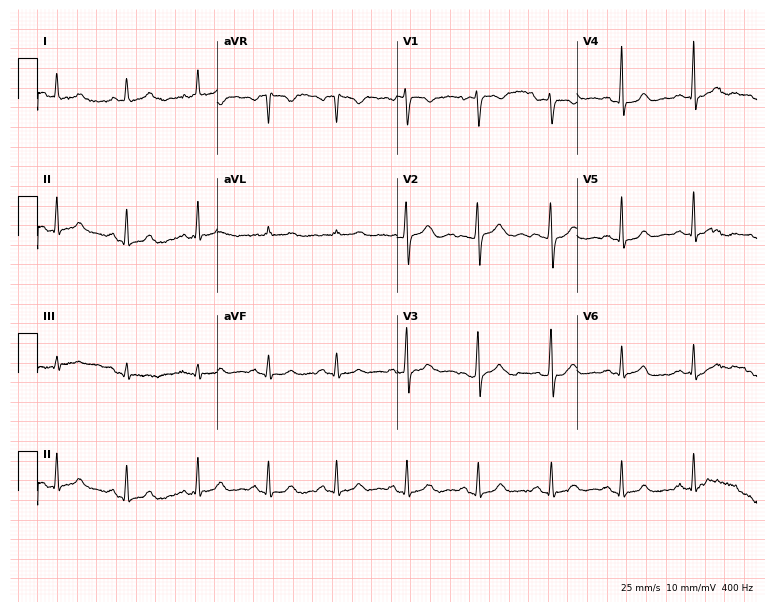
12-lead ECG from a 35-year-old female patient. Recorded interpretation: within normal limits.